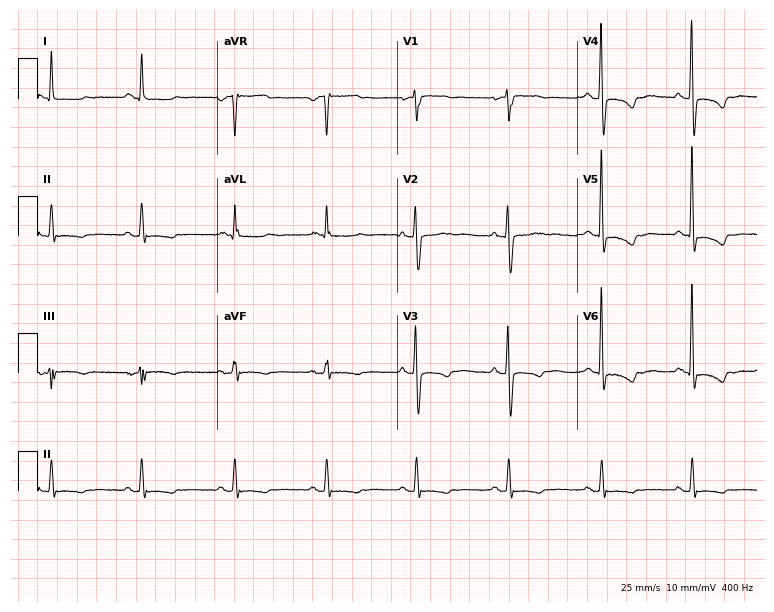
ECG (7.3-second recording at 400 Hz) — an 85-year-old woman. Screened for six findings — first-degree AV block, right bundle branch block, left bundle branch block, sinus bradycardia, atrial fibrillation, sinus tachycardia — none is recorded.